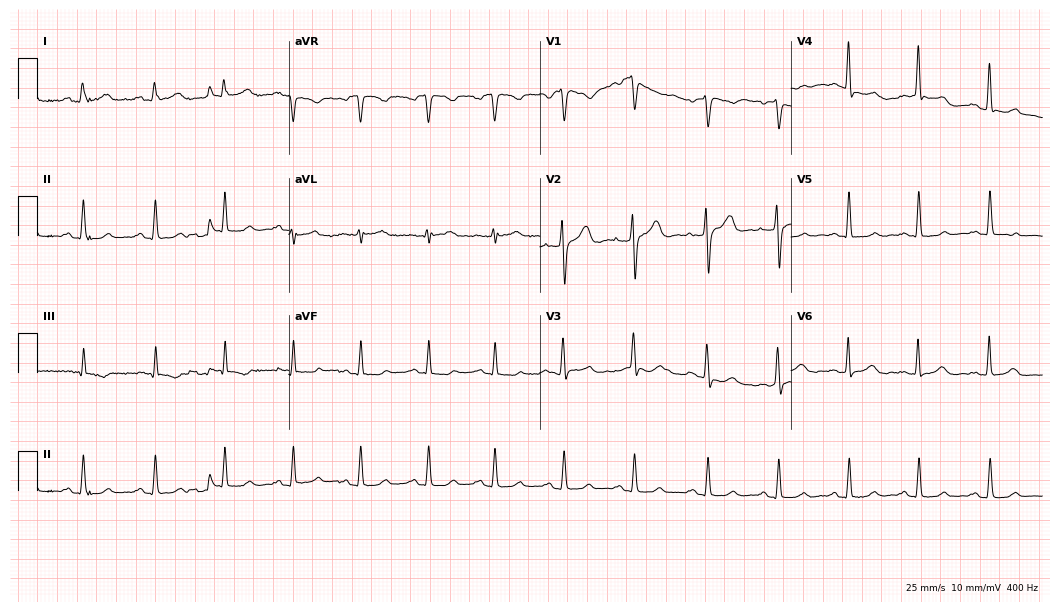
12-lead ECG from a female, 41 years old. No first-degree AV block, right bundle branch block (RBBB), left bundle branch block (LBBB), sinus bradycardia, atrial fibrillation (AF) or sinus tachycardia recorded for this tracing.